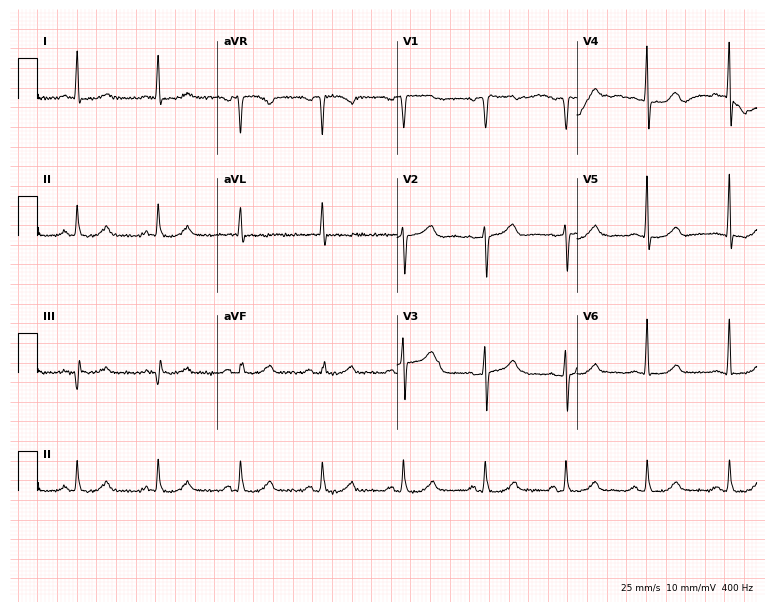
Standard 12-lead ECG recorded from a 69-year-old male (7.3-second recording at 400 Hz). Read as a normal ECG.